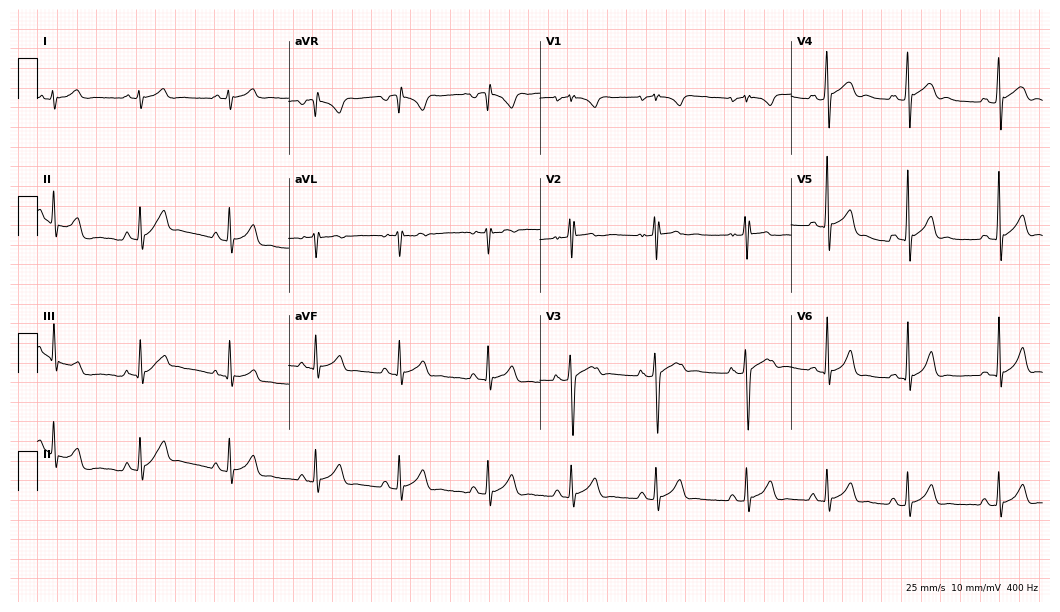
Electrocardiogram (10.2-second recording at 400 Hz), a 17-year-old male. Of the six screened findings (first-degree AV block, right bundle branch block (RBBB), left bundle branch block (LBBB), sinus bradycardia, atrial fibrillation (AF), sinus tachycardia), none is recorded. Findings outside these six are not listed.